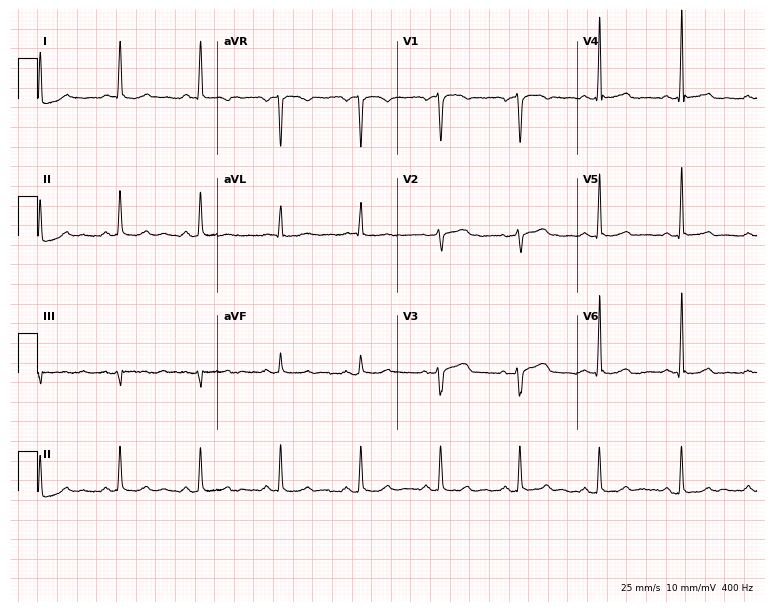
Resting 12-lead electrocardiogram (7.3-second recording at 400 Hz). Patient: a female, 61 years old. Read as a normal ECG.